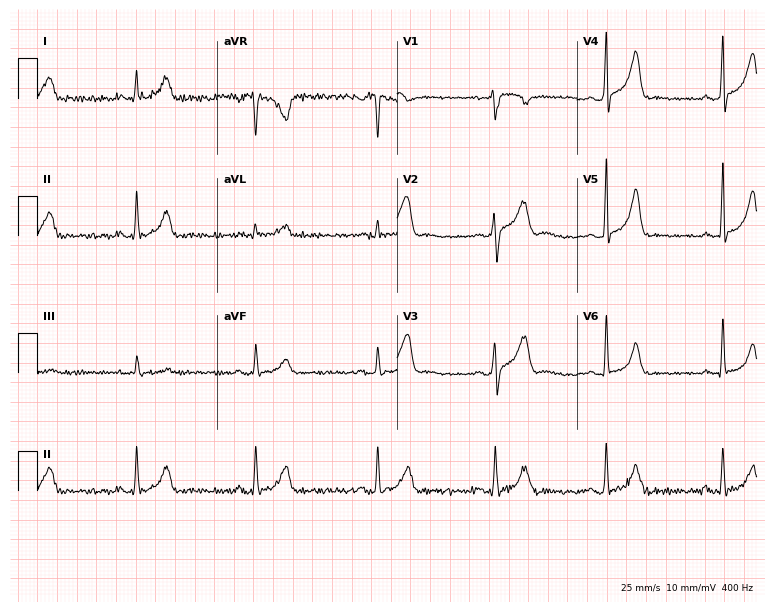
Resting 12-lead electrocardiogram (7.3-second recording at 400 Hz). Patient: a man, 41 years old. None of these six findings is recorded: first-degree AV block, right bundle branch block (RBBB), left bundle branch block (LBBB), sinus bradycardia, atrial fibrillation (AF), sinus tachycardia. Findings outside these six are not listed.